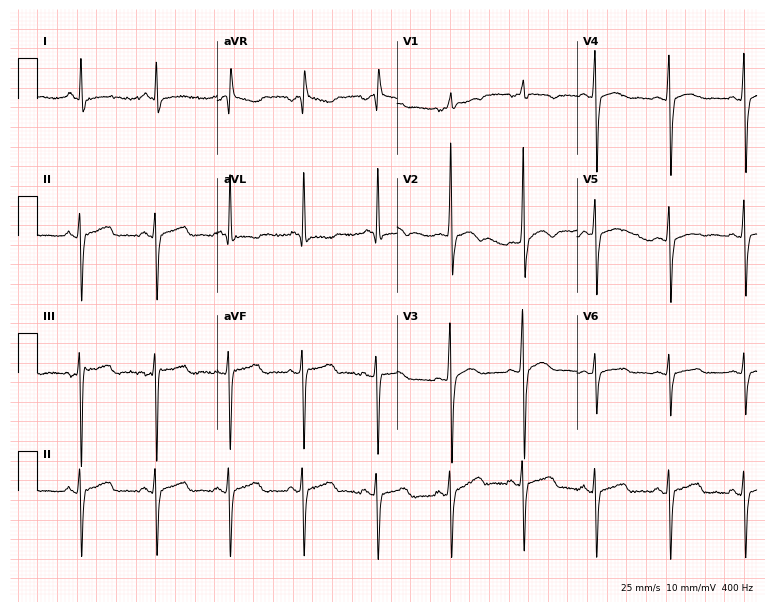
12-lead ECG (7.3-second recording at 400 Hz) from a female, 47 years old. Screened for six findings — first-degree AV block, right bundle branch block, left bundle branch block, sinus bradycardia, atrial fibrillation, sinus tachycardia — none is recorded.